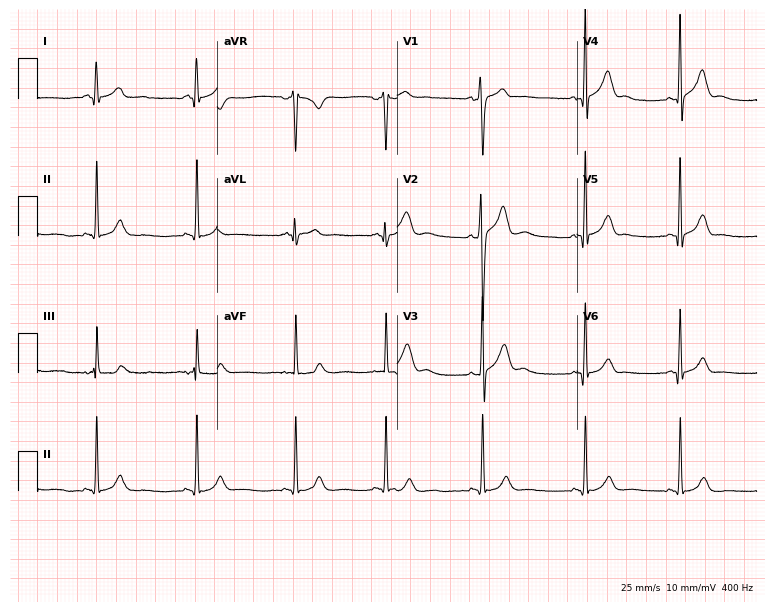
12-lead ECG (7.3-second recording at 400 Hz) from a 26-year-old male patient. Labelled as a normal ECG.